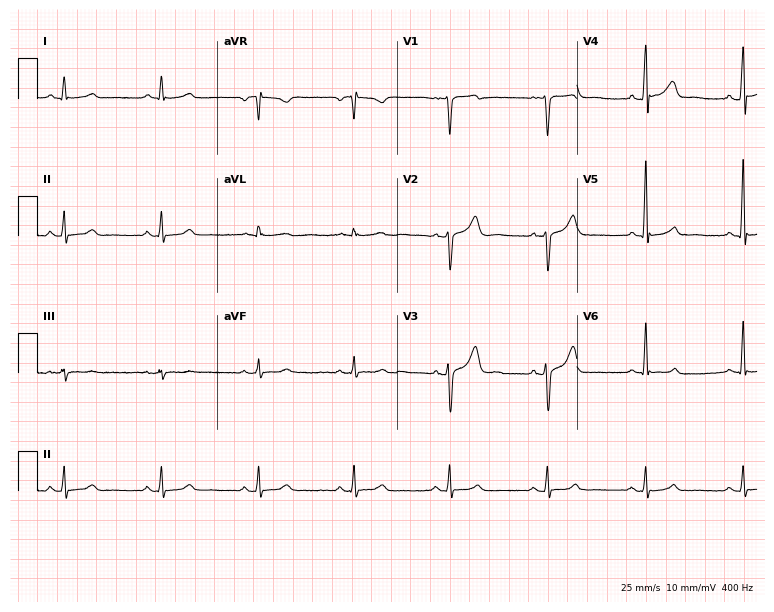
Electrocardiogram (7.3-second recording at 400 Hz), a 46-year-old man. Overall reading on record: normal ECG.